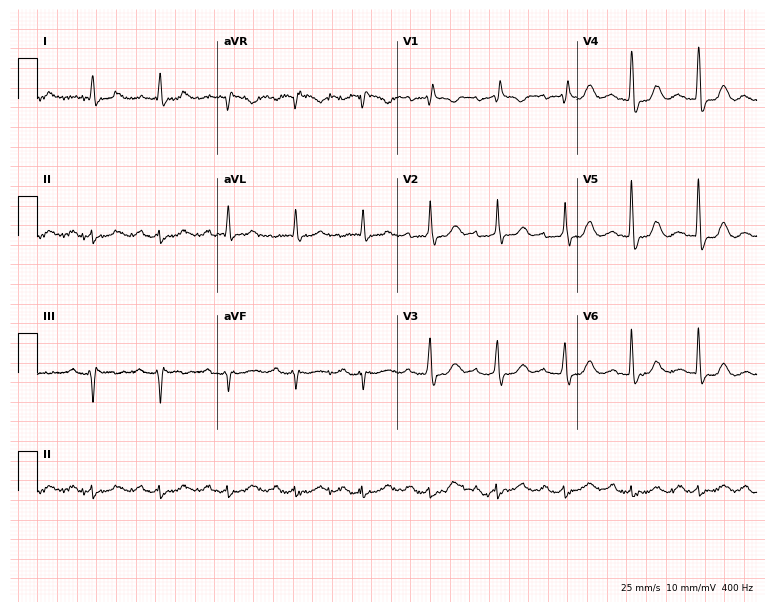
12-lead ECG from an 82-year-old male. No first-degree AV block, right bundle branch block (RBBB), left bundle branch block (LBBB), sinus bradycardia, atrial fibrillation (AF) or sinus tachycardia recorded for this tracing.